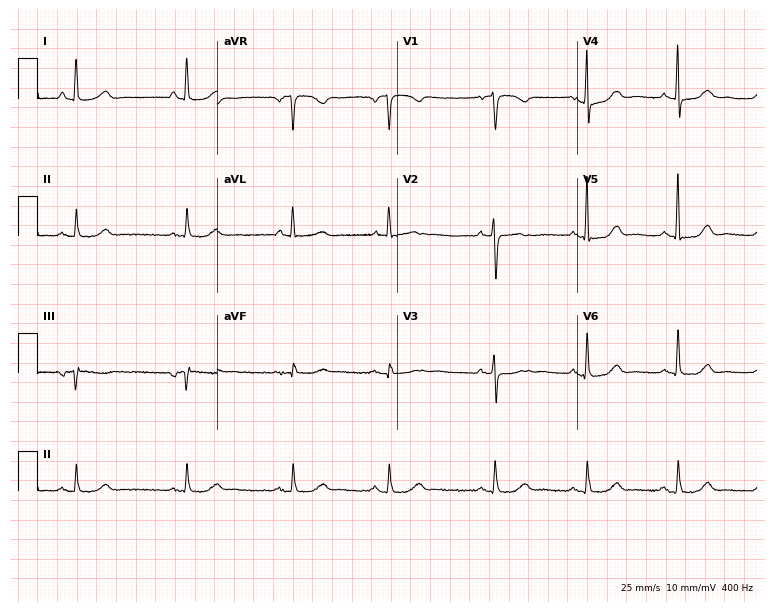
Standard 12-lead ECG recorded from a 69-year-old female (7.3-second recording at 400 Hz). None of these six findings is recorded: first-degree AV block, right bundle branch block, left bundle branch block, sinus bradycardia, atrial fibrillation, sinus tachycardia. Findings outside these six are not listed.